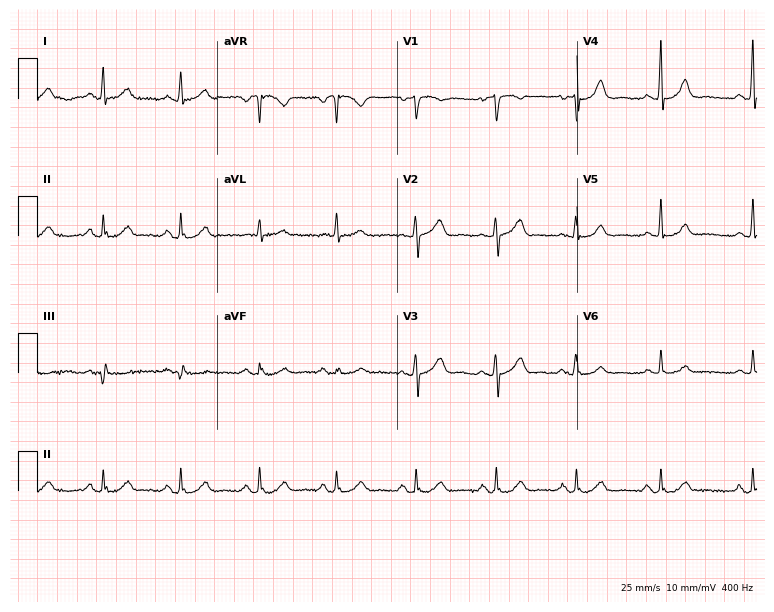
12-lead ECG (7.3-second recording at 400 Hz) from a 68-year-old woman. Labelled as a normal ECG.